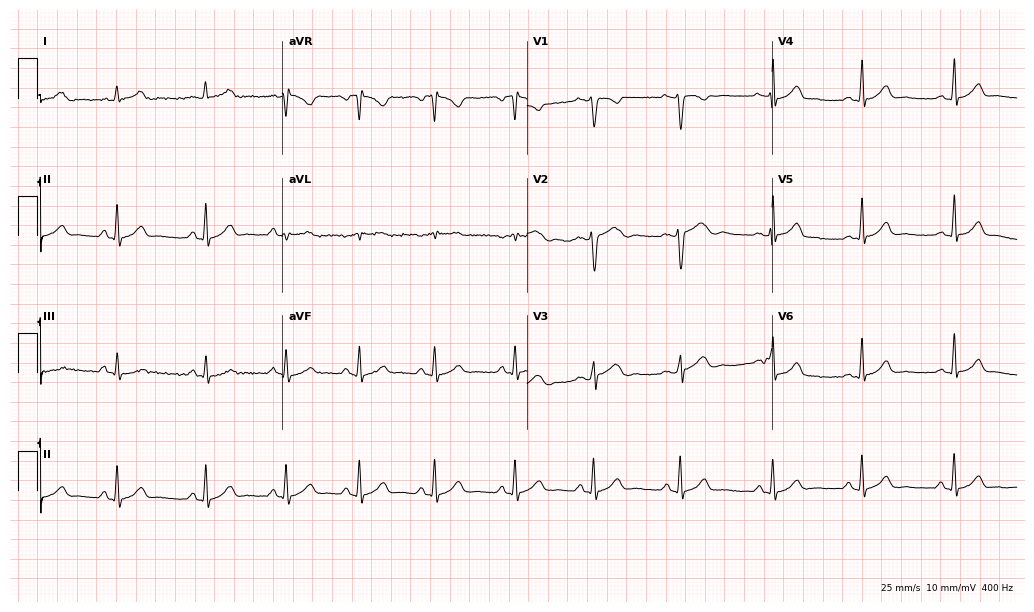
12-lead ECG from a female patient, 22 years old. Screened for six findings — first-degree AV block, right bundle branch block (RBBB), left bundle branch block (LBBB), sinus bradycardia, atrial fibrillation (AF), sinus tachycardia — none is recorded. Other findings, if any, are not listed.